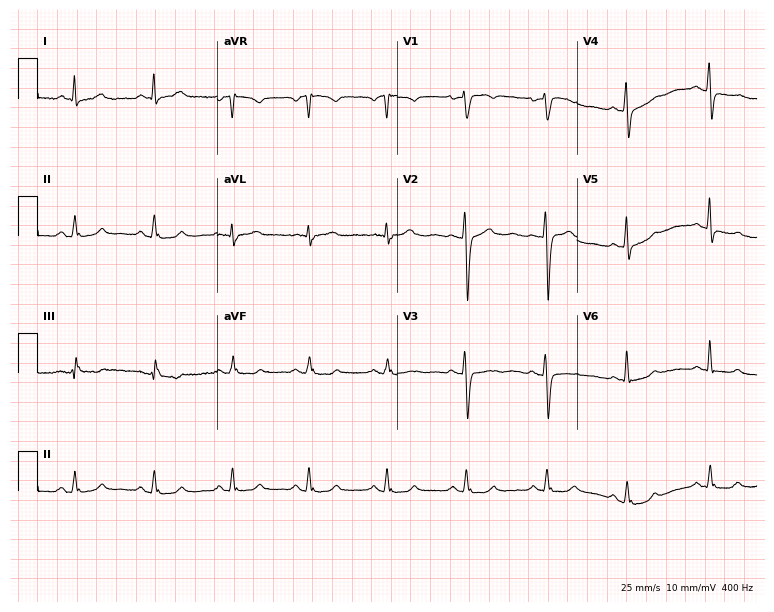
12-lead ECG from a 57-year-old woman. Labelled as a normal ECG.